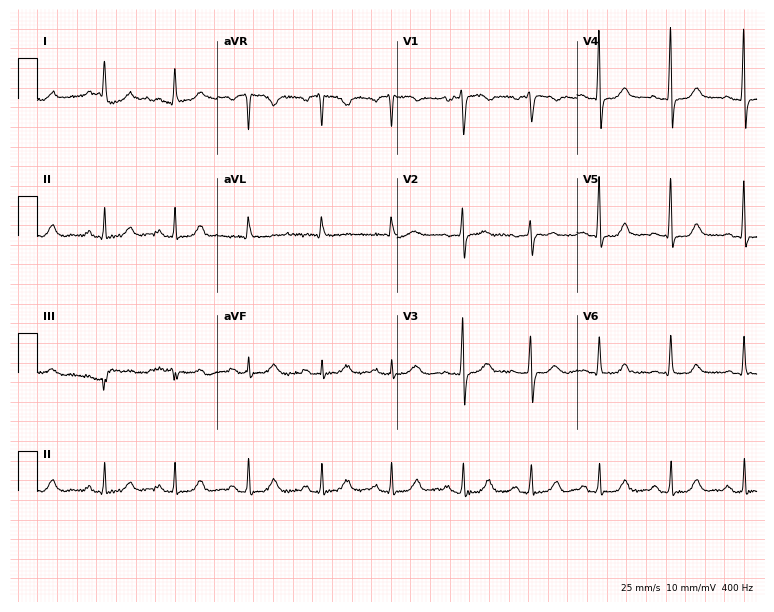
12-lead ECG (7.3-second recording at 400 Hz) from a 49-year-old female patient. Screened for six findings — first-degree AV block, right bundle branch block, left bundle branch block, sinus bradycardia, atrial fibrillation, sinus tachycardia — none is recorded. Other findings, if any, are not listed.